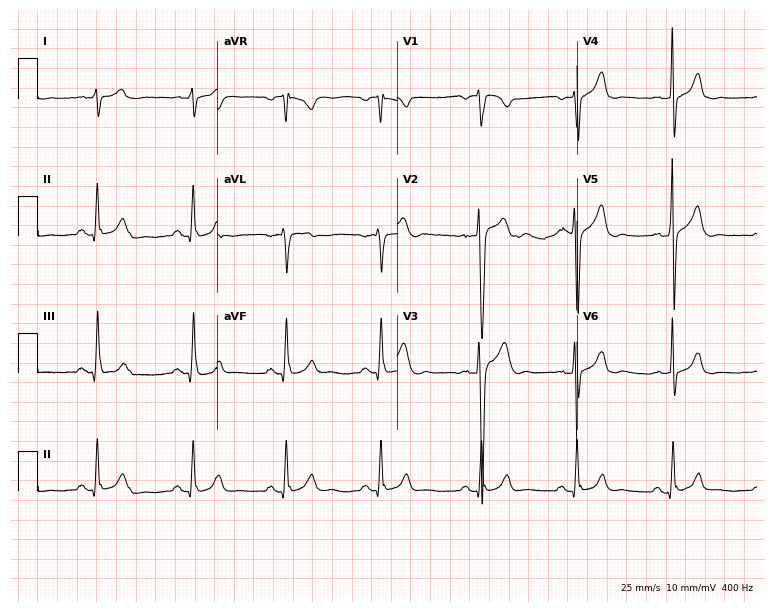
ECG (7.3-second recording at 400 Hz) — a man, 31 years old. Labelled as a normal ECG.